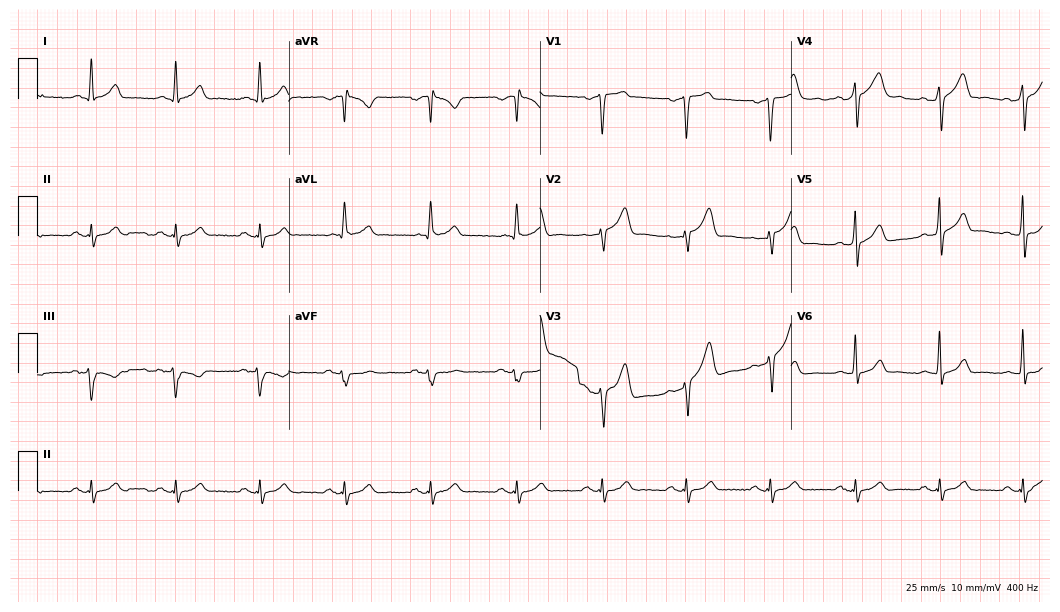
12-lead ECG from a man, 56 years old (10.2-second recording at 400 Hz). Recorded interpretation: within normal limits.